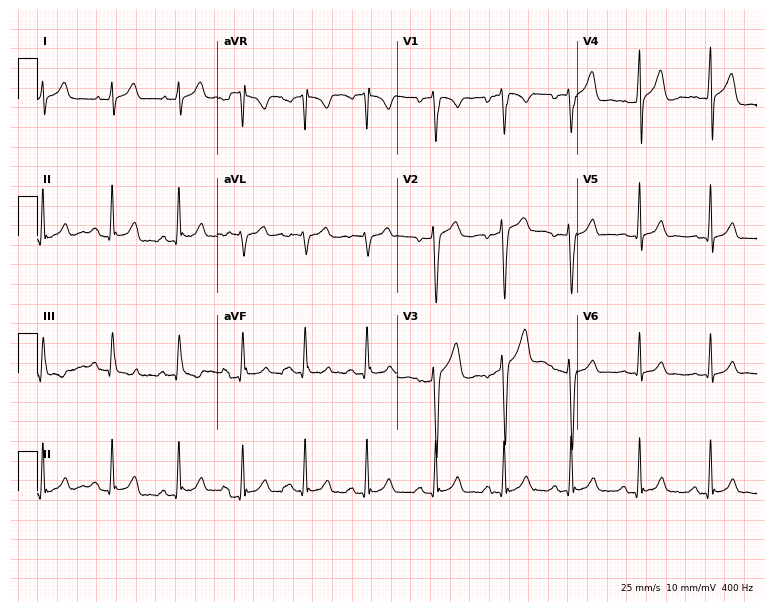
12-lead ECG from a 27-year-old male. No first-degree AV block, right bundle branch block, left bundle branch block, sinus bradycardia, atrial fibrillation or sinus tachycardia recorded for this tracing.